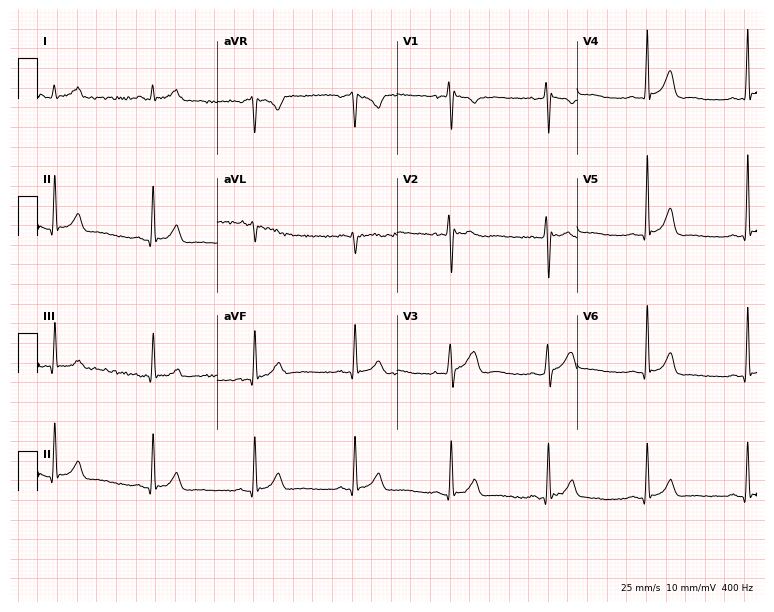
Standard 12-lead ECG recorded from a man, 44 years old. None of these six findings is recorded: first-degree AV block, right bundle branch block (RBBB), left bundle branch block (LBBB), sinus bradycardia, atrial fibrillation (AF), sinus tachycardia.